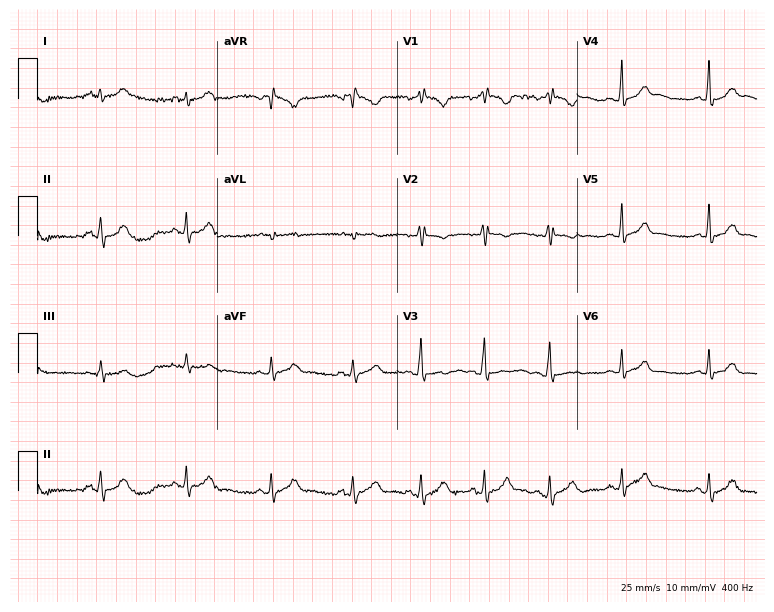
Electrocardiogram, a woman, 25 years old. Of the six screened findings (first-degree AV block, right bundle branch block, left bundle branch block, sinus bradycardia, atrial fibrillation, sinus tachycardia), none is recorded.